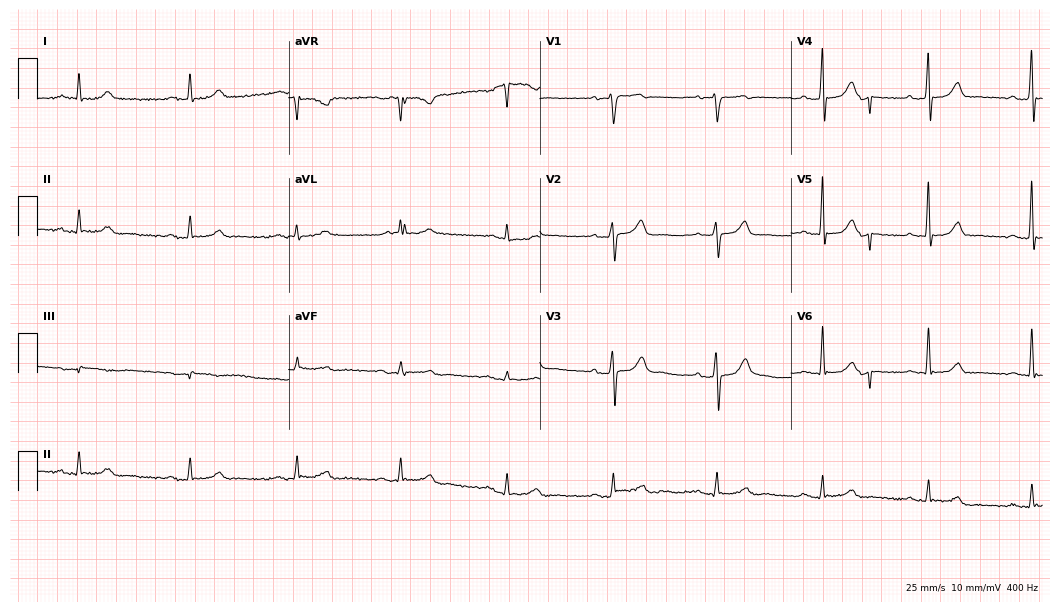
ECG — a male patient, 67 years old. Labelled as a normal ECG.